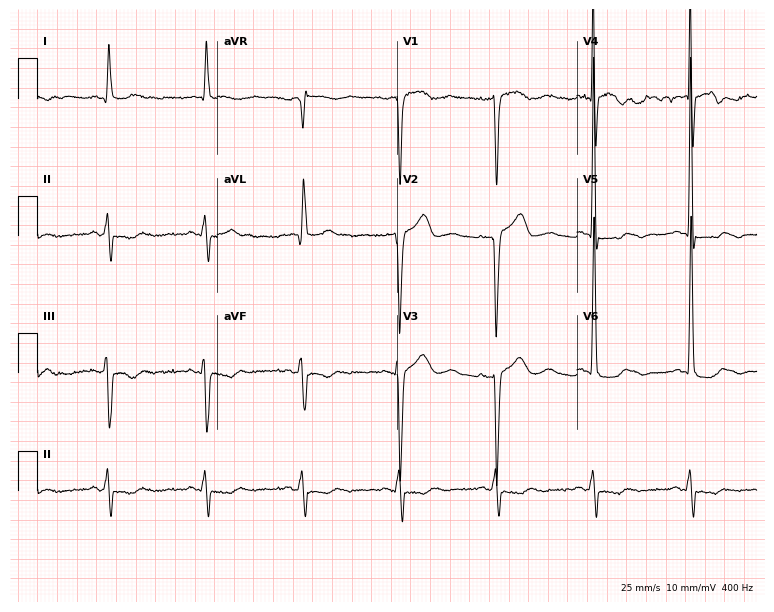
ECG (7.3-second recording at 400 Hz) — a 75-year-old man. Screened for six findings — first-degree AV block, right bundle branch block, left bundle branch block, sinus bradycardia, atrial fibrillation, sinus tachycardia — none is recorded. Other findings, if any, are not listed.